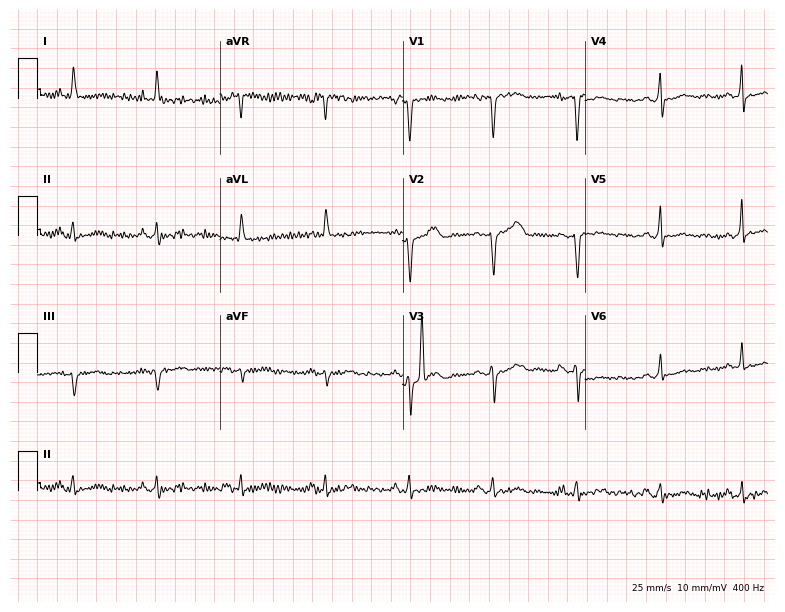
Resting 12-lead electrocardiogram. Patient: a 57-year-old female. None of these six findings is recorded: first-degree AV block, right bundle branch block, left bundle branch block, sinus bradycardia, atrial fibrillation, sinus tachycardia. Only these six findings were labelled.